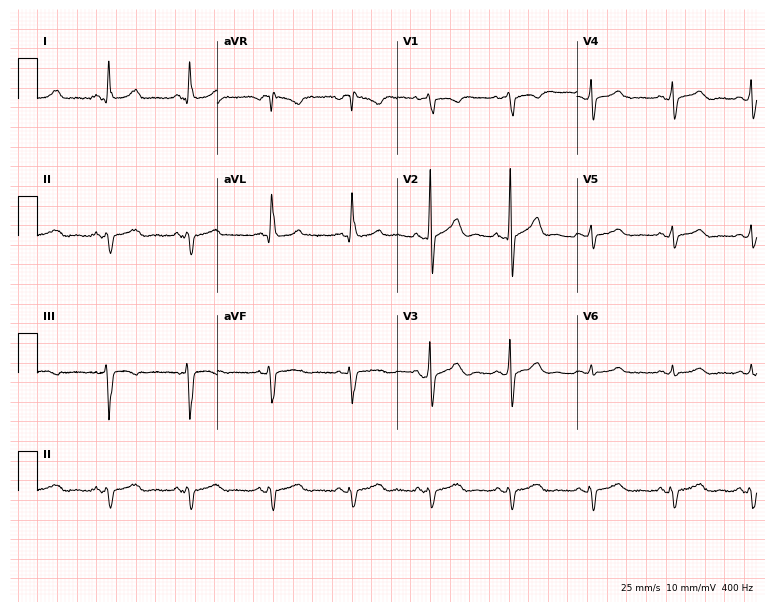
Resting 12-lead electrocardiogram. Patient: a male, 51 years old. None of these six findings is recorded: first-degree AV block, right bundle branch block, left bundle branch block, sinus bradycardia, atrial fibrillation, sinus tachycardia.